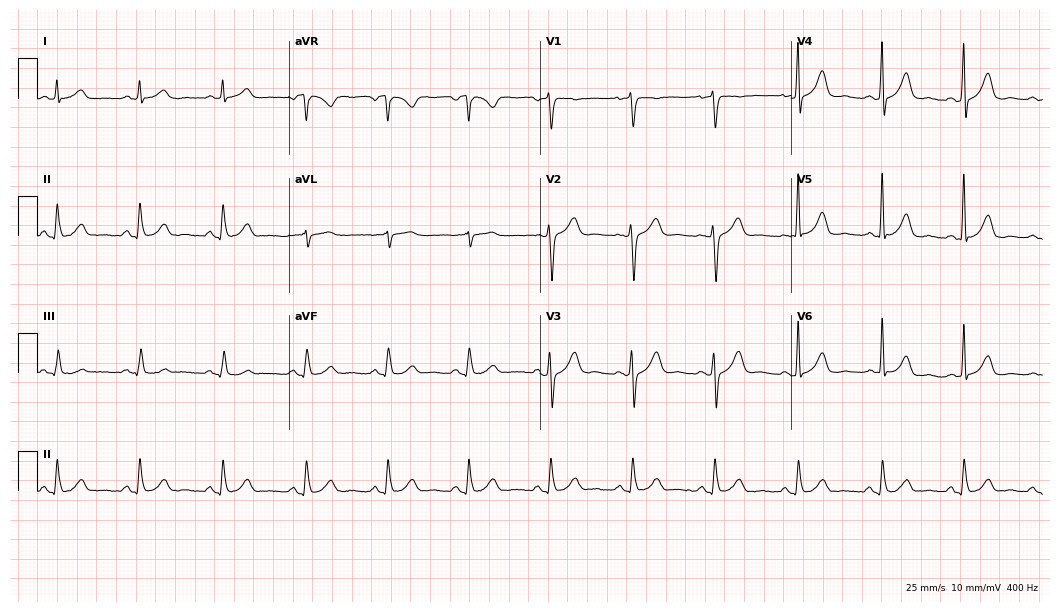
Standard 12-lead ECG recorded from a 62-year-old male (10.2-second recording at 400 Hz). Read as a normal ECG.